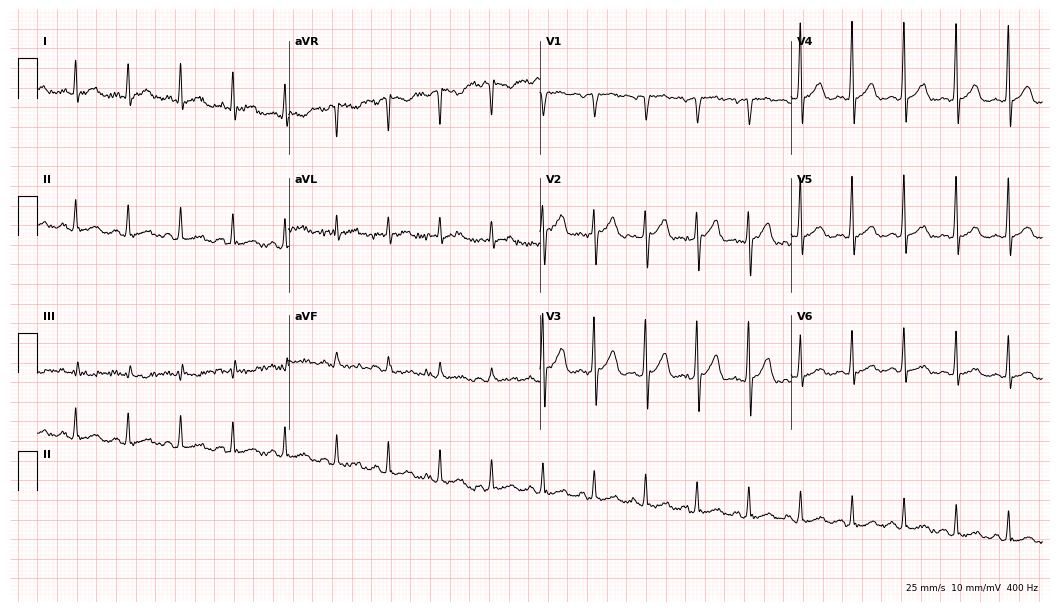
12-lead ECG from a male, 65 years old. Shows sinus tachycardia (a sinus rate of 100 beats per minute or more).